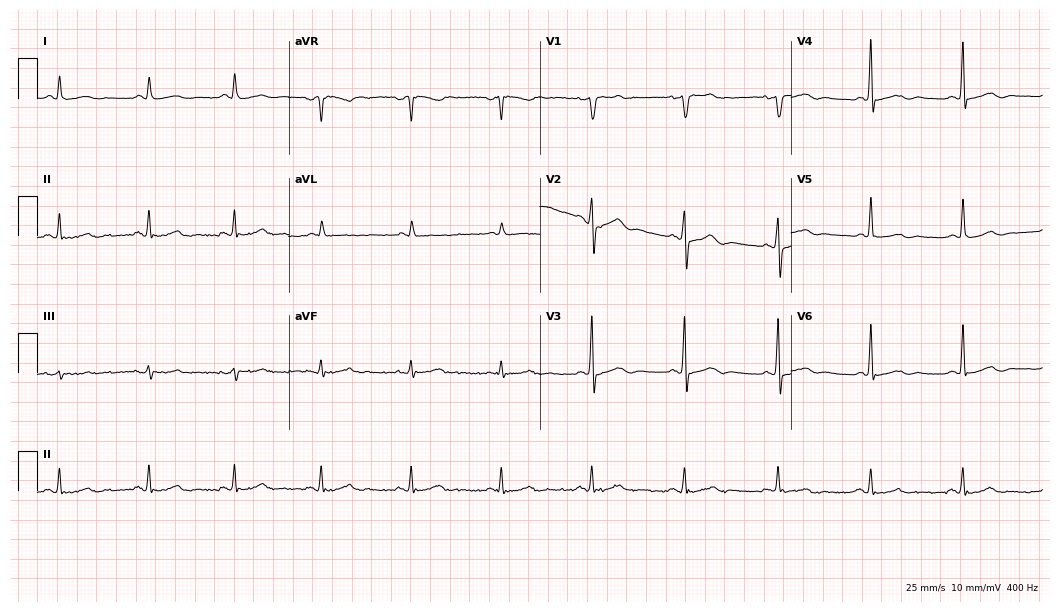
Standard 12-lead ECG recorded from a 52-year-old male patient (10.2-second recording at 400 Hz). Read as a normal ECG.